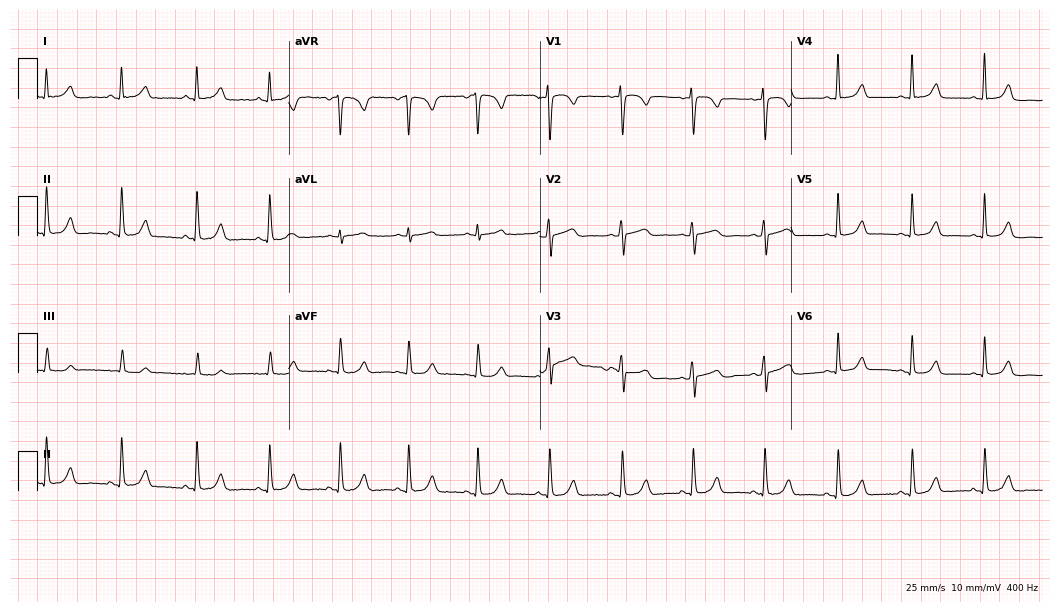
Electrocardiogram (10.2-second recording at 400 Hz), a 43-year-old woman. Overall reading on record: normal ECG.